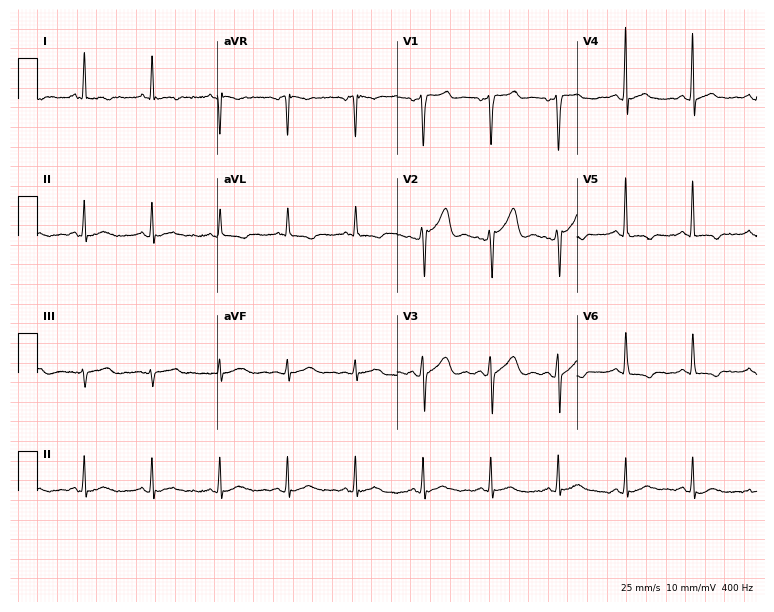
Resting 12-lead electrocardiogram (7.3-second recording at 400 Hz). Patient: a 60-year-old male. None of these six findings is recorded: first-degree AV block, right bundle branch block, left bundle branch block, sinus bradycardia, atrial fibrillation, sinus tachycardia.